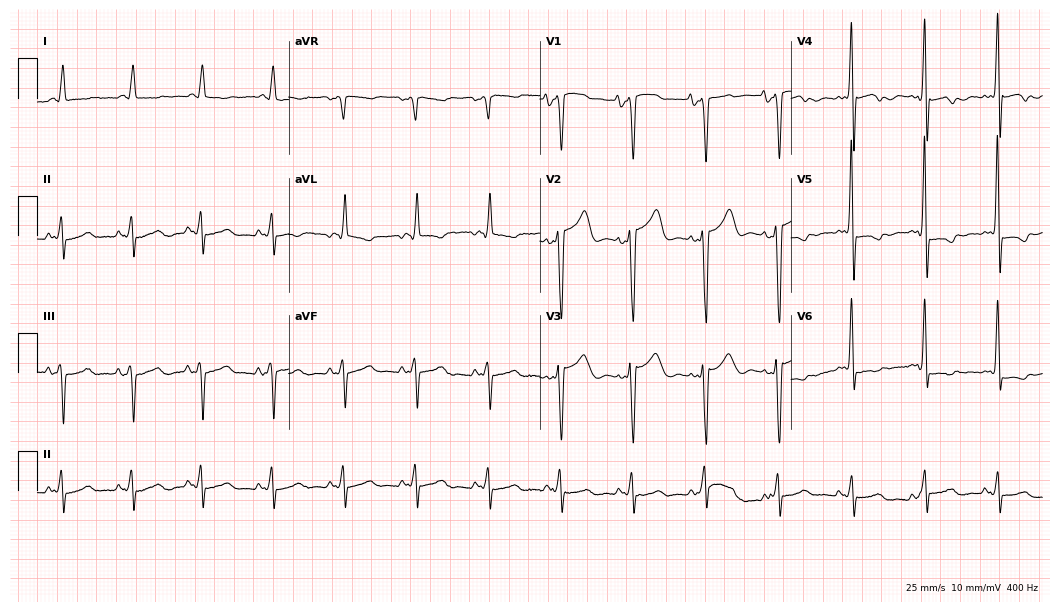
Resting 12-lead electrocardiogram. Patient: a man, 61 years old. None of these six findings is recorded: first-degree AV block, right bundle branch block (RBBB), left bundle branch block (LBBB), sinus bradycardia, atrial fibrillation (AF), sinus tachycardia.